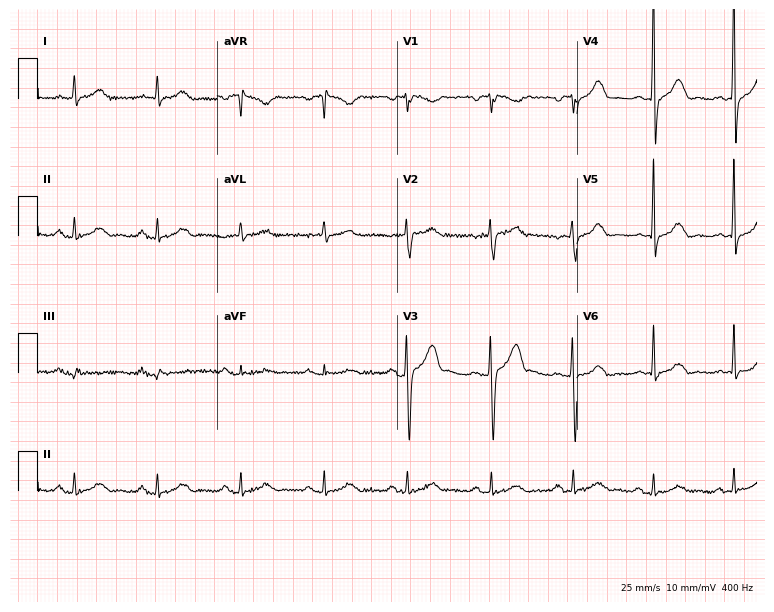
12-lead ECG (7.3-second recording at 400 Hz) from a man, 45 years old. Screened for six findings — first-degree AV block, right bundle branch block, left bundle branch block, sinus bradycardia, atrial fibrillation, sinus tachycardia — none is recorded.